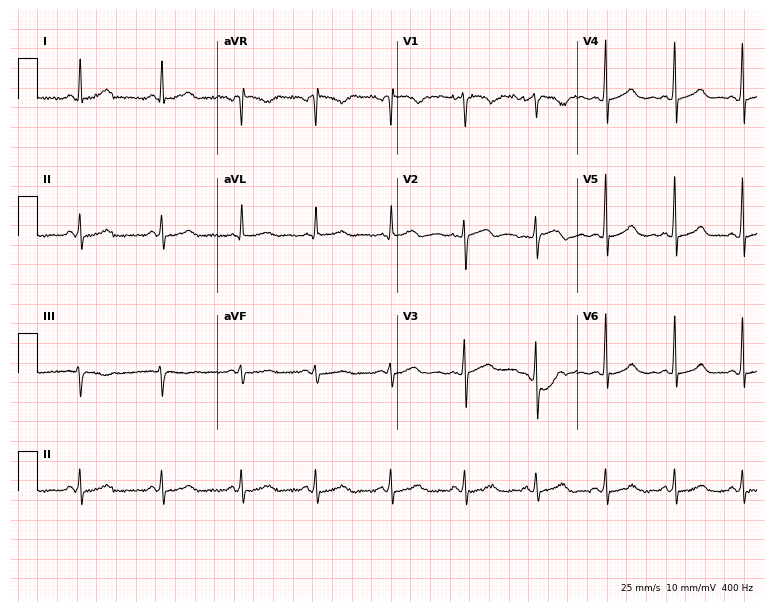
Electrocardiogram (7.3-second recording at 400 Hz), a woman, 33 years old. Of the six screened findings (first-degree AV block, right bundle branch block, left bundle branch block, sinus bradycardia, atrial fibrillation, sinus tachycardia), none is recorded. Only these six findings were labelled.